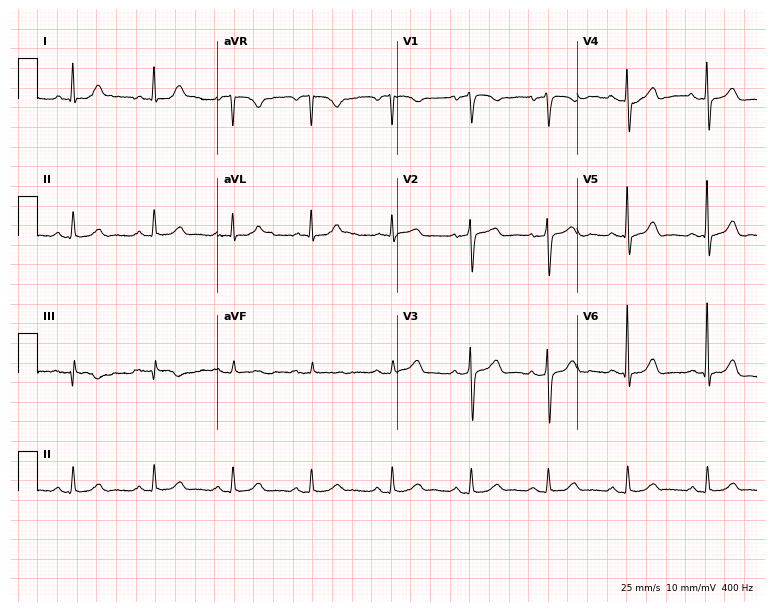
Standard 12-lead ECG recorded from a 66-year-old male (7.3-second recording at 400 Hz). None of these six findings is recorded: first-degree AV block, right bundle branch block, left bundle branch block, sinus bradycardia, atrial fibrillation, sinus tachycardia. Only these six findings were labelled.